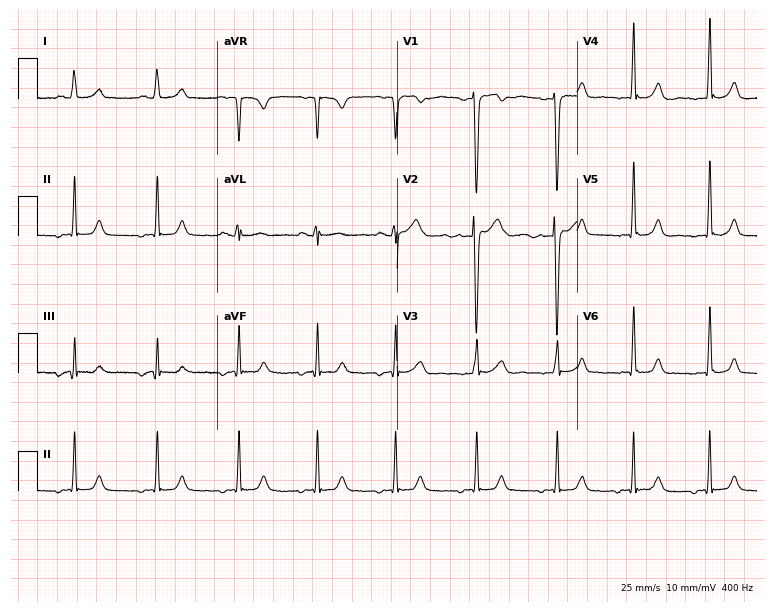
12-lead ECG (7.3-second recording at 400 Hz) from a 27-year-old female. Labelled as a normal ECG.